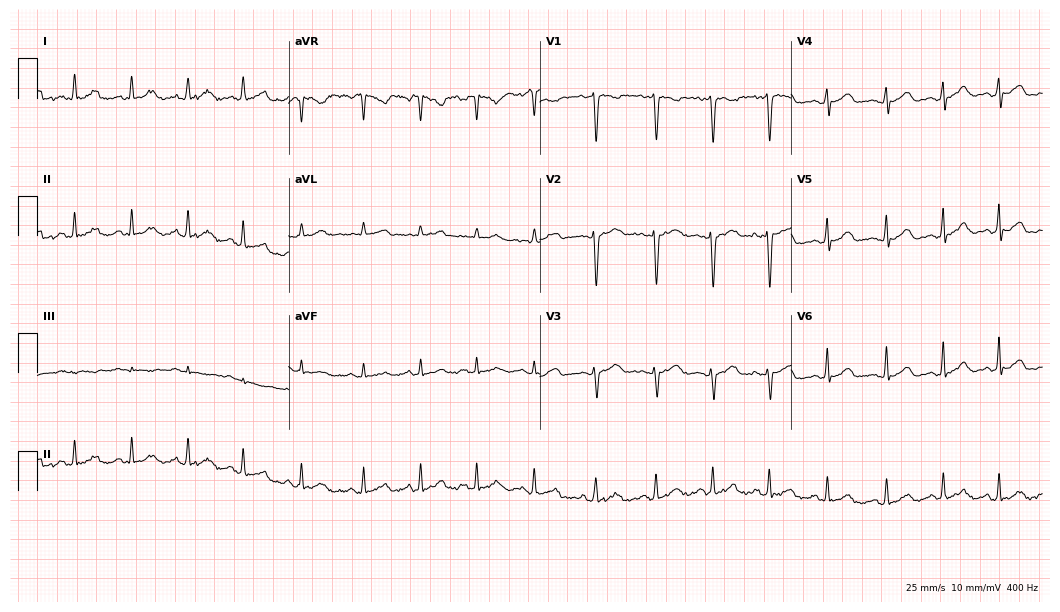
Standard 12-lead ECG recorded from a 33-year-old female patient (10.2-second recording at 400 Hz). Read as a normal ECG.